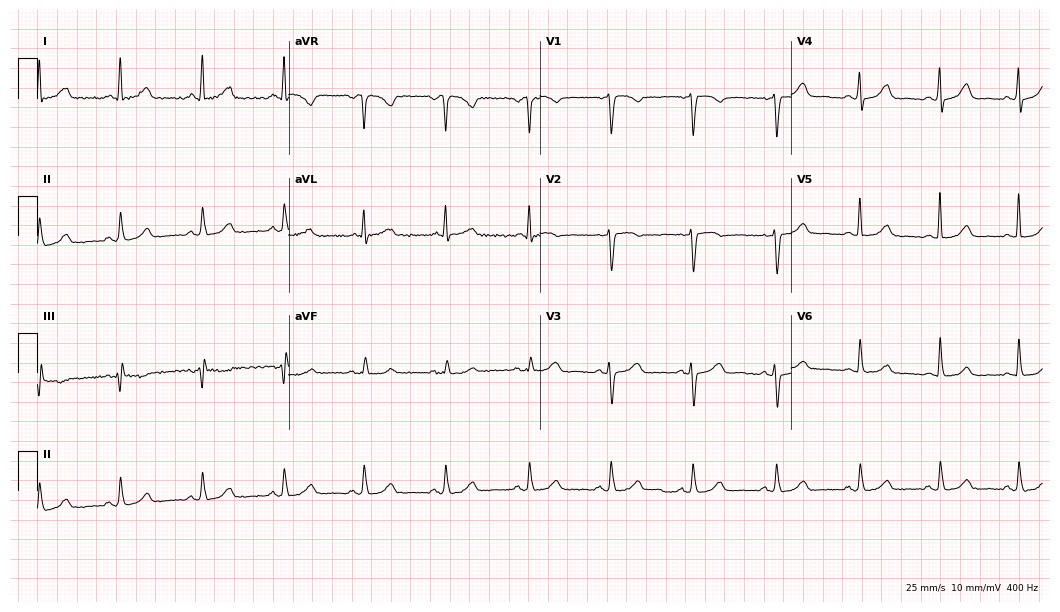
Resting 12-lead electrocardiogram (10.2-second recording at 400 Hz). Patient: a female, 58 years old. Read as a normal ECG.